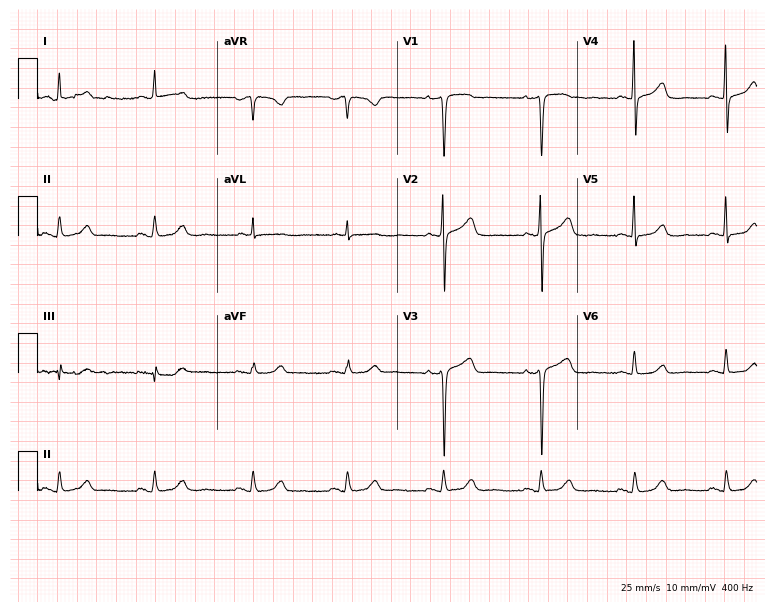
Resting 12-lead electrocardiogram. Patient: a female, 48 years old. Read as a normal ECG.